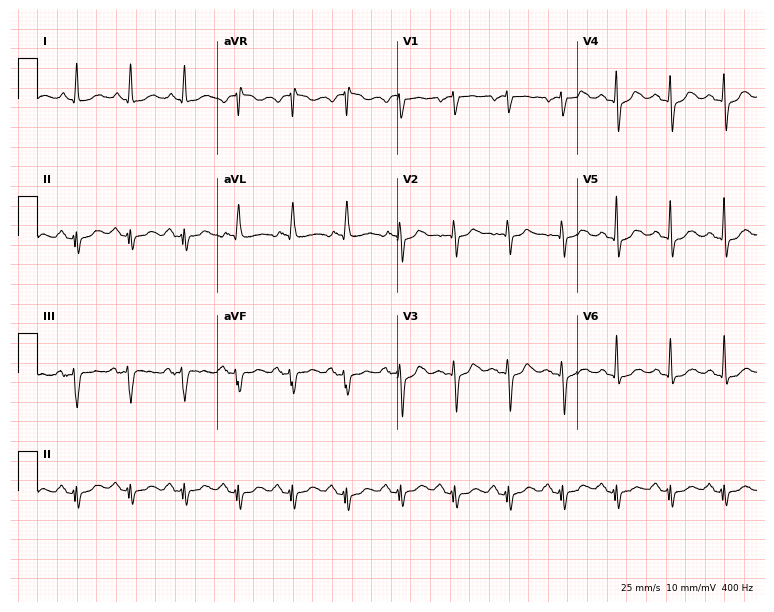
Electrocardiogram, a male, 66 years old. Of the six screened findings (first-degree AV block, right bundle branch block (RBBB), left bundle branch block (LBBB), sinus bradycardia, atrial fibrillation (AF), sinus tachycardia), none is recorded.